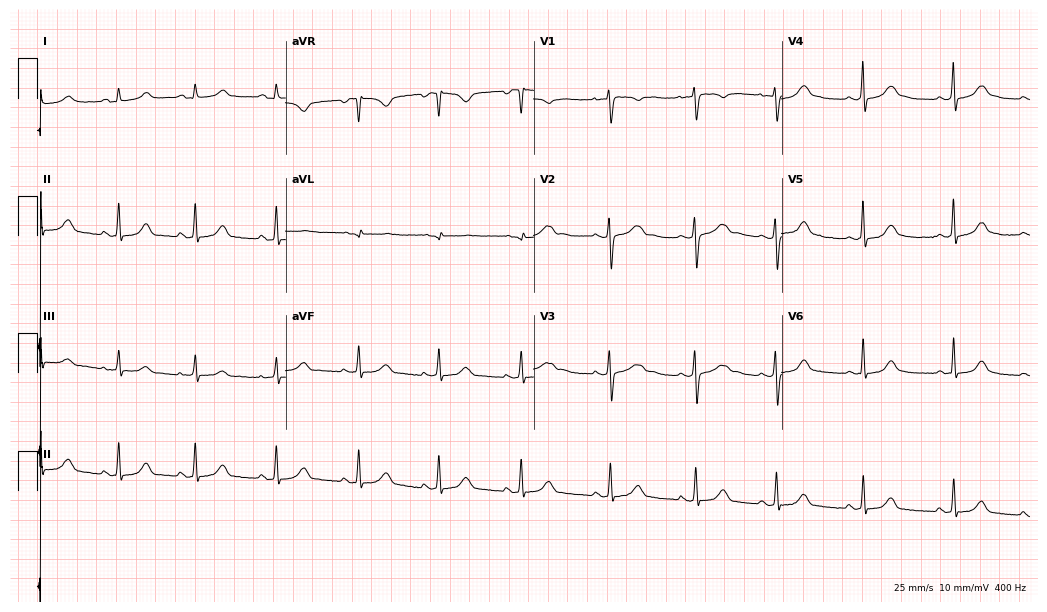
12-lead ECG (10.1-second recording at 400 Hz) from a female patient, 21 years old. Labelled as a normal ECG.